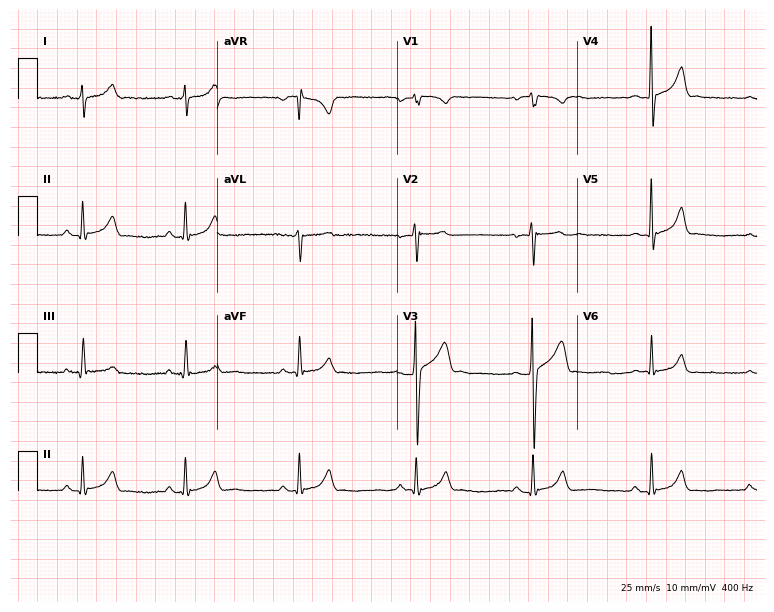
ECG — a male patient, 18 years old. Screened for six findings — first-degree AV block, right bundle branch block (RBBB), left bundle branch block (LBBB), sinus bradycardia, atrial fibrillation (AF), sinus tachycardia — none is recorded.